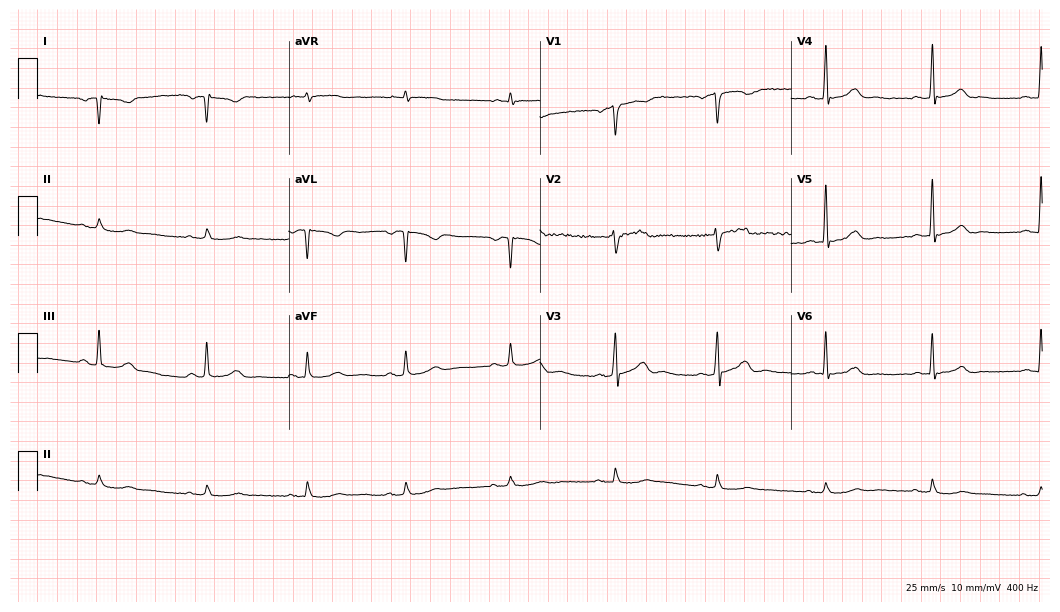
12-lead ECG from a male patient, 64 years old. Screened for six findings — first-degree AV block, right bundle branch block (RBBB), left bundle branch block (LBBB), sinus bradycardia, atrial fibrillation (AF), sinus tachycardia — none is recorded.